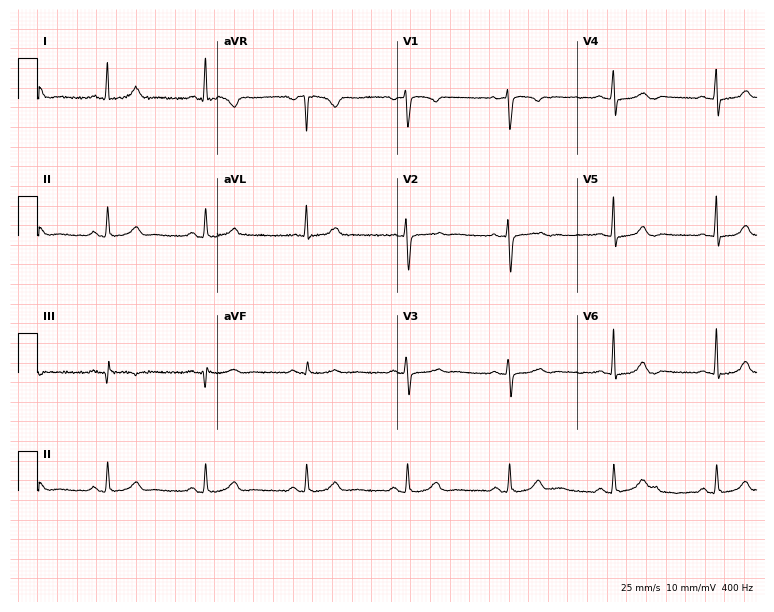
12-lead ECG from a 54-year-old female. Labelled as a normal ECG.